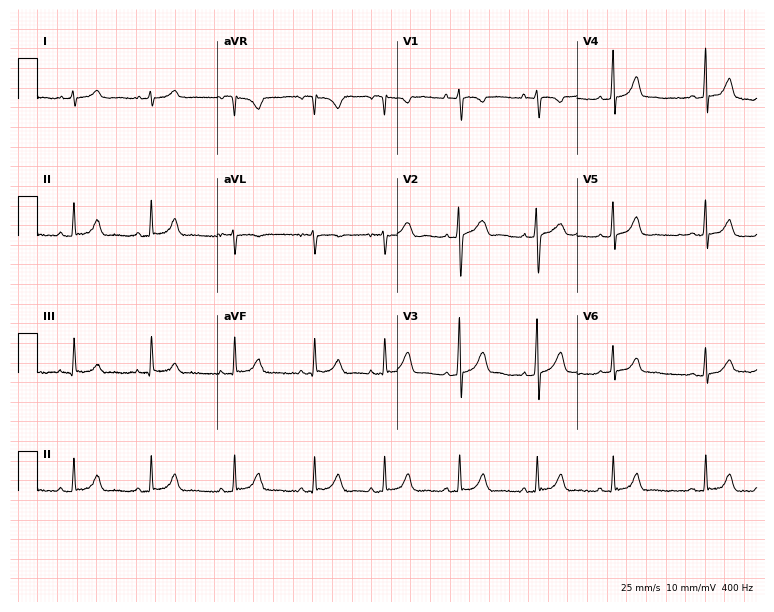
ECG (7.3-second recording at 400 Hz) — a woman, 21 years old. Labelled as a normal ECG.